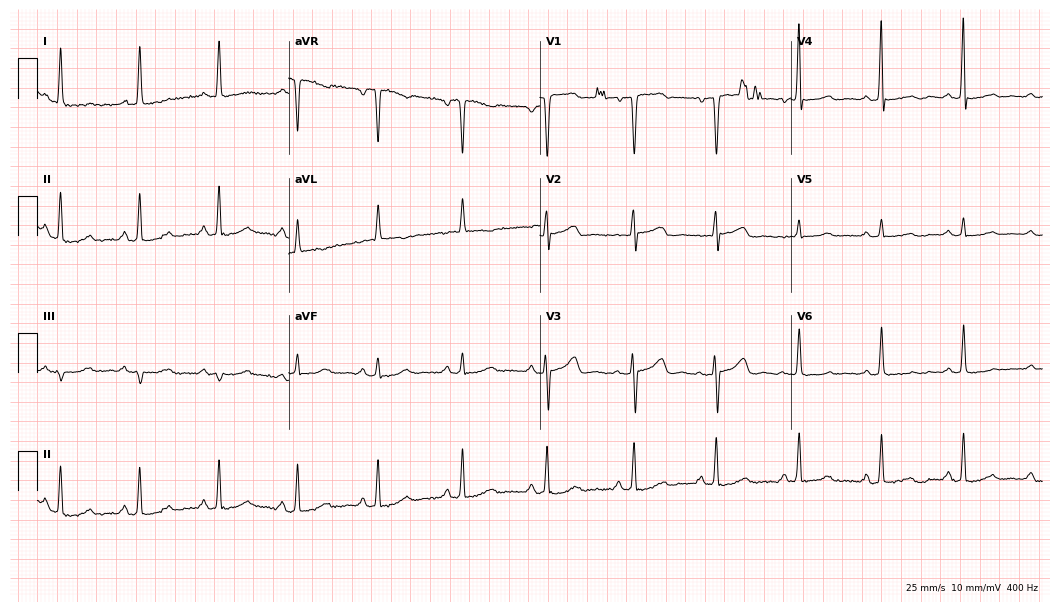
ECG — a 70-year-old woman. Screened for six findings — first-degree AV block, right bundle branch block, left bundle branch block, sinus bradycardia, atrial fibrillation, sinus tachycardia — none is recorded. Findings outside these six are not listed.